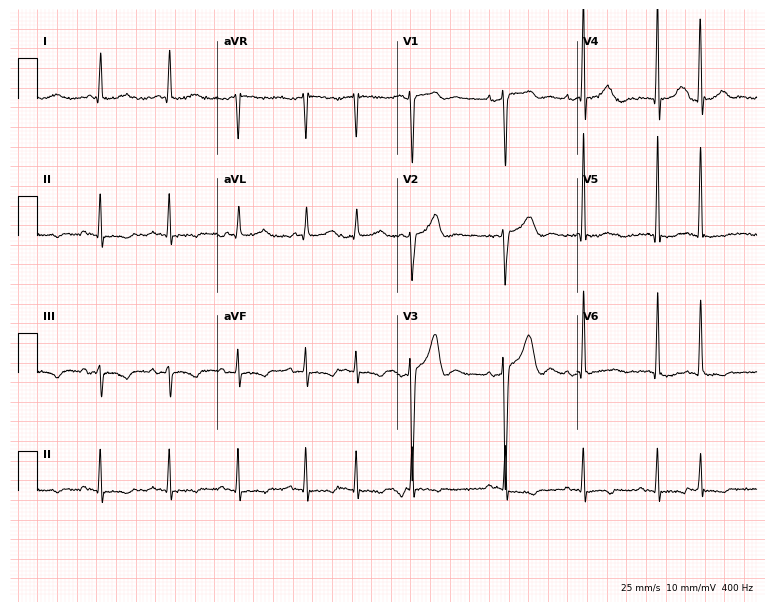
Electrocardiogram, a 78-year-old male patient. Of the six screened findings (first-degree AV block, right bundle branch block (RBBB), left bundle branch block (LBBB), sinus bradycardia, atrial fibrillation (AF), sinus tachycardia), none is recorded.